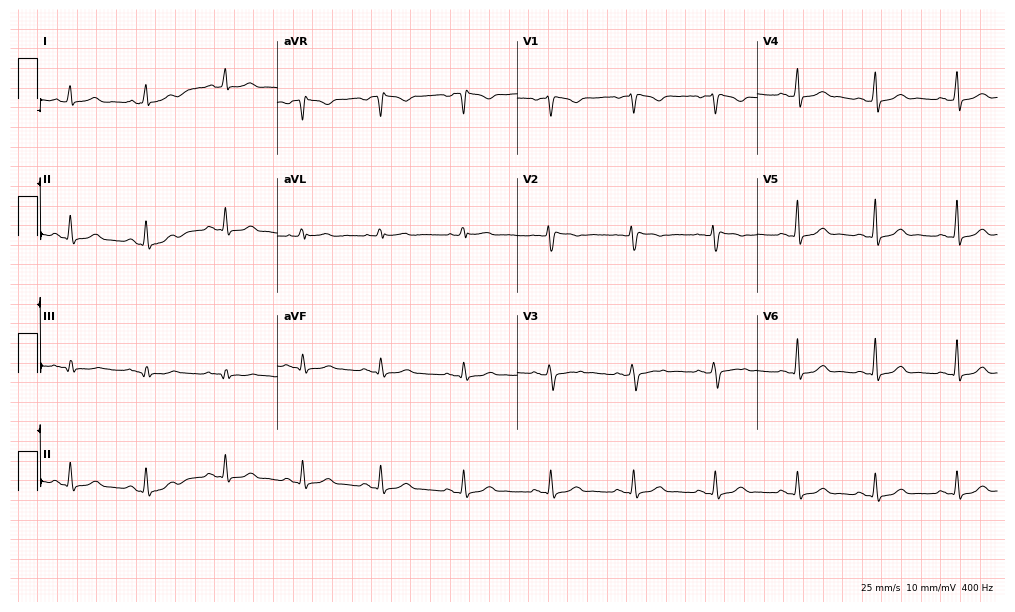
Resting 12-lead electrocardiogram (9.8-second recording at 400 Hz). Patient: a 38-year-old female. Read as a normal ECG.